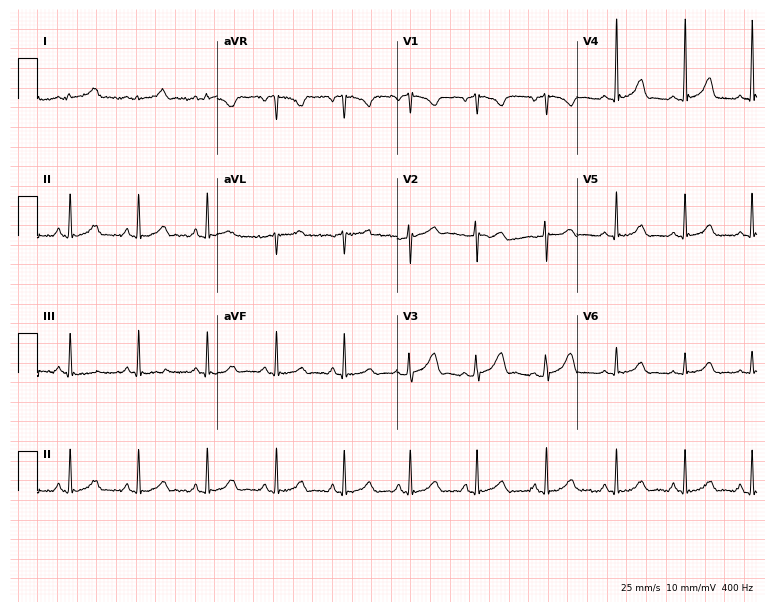
Standard 12-lead ECG recorded from a female, 18 years old. Read as a normal ECG.